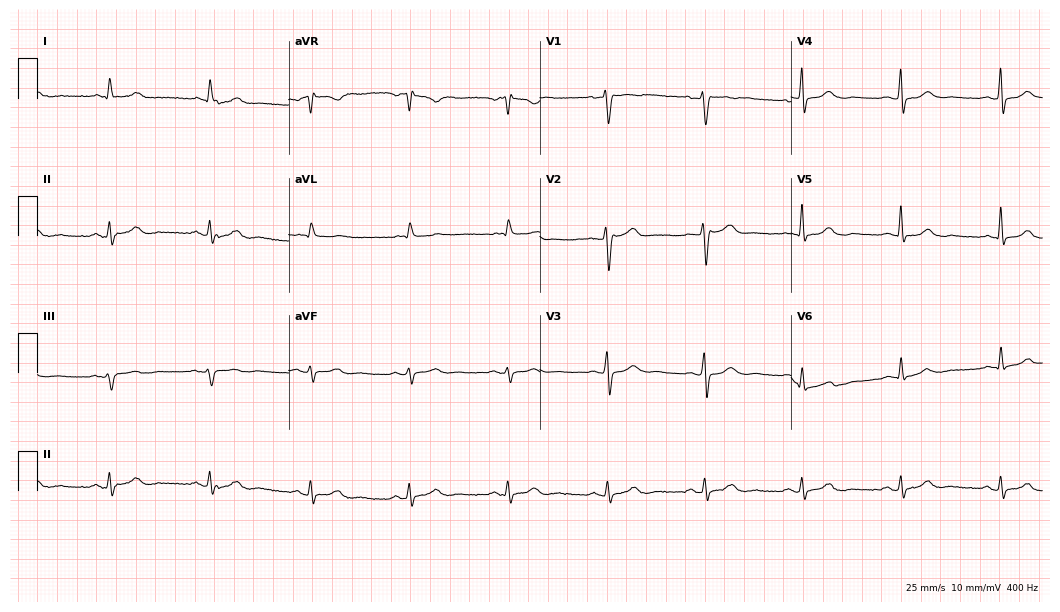
12-lead ECG from a male, 54 years old (10.2-second recording at 400 Hz). Recorded interpretation: within normal limits.